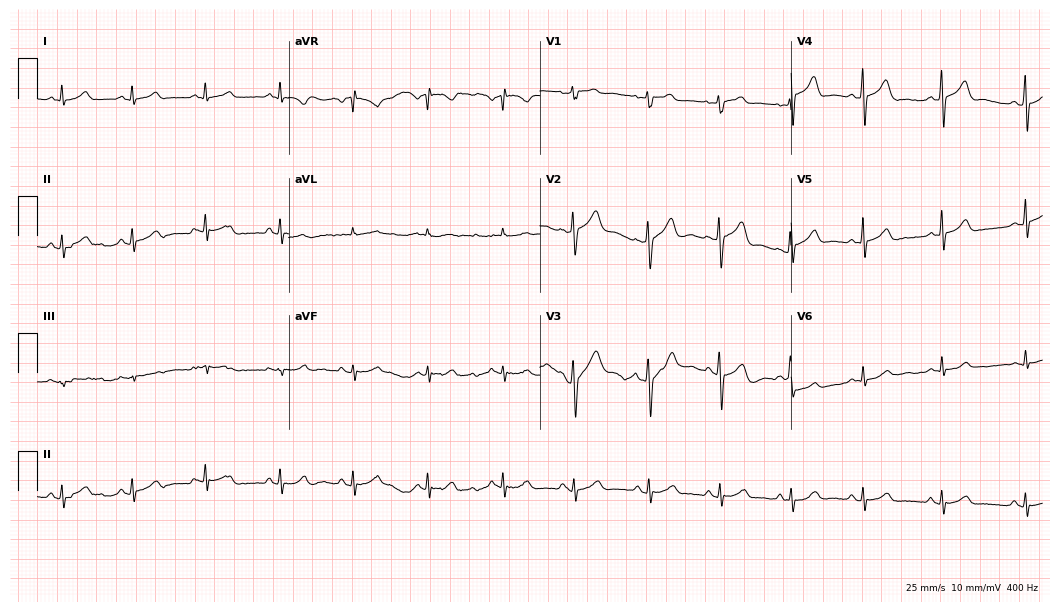
12-lead ECG from a male patient, 27 years old (10.2-second recording at 400 Hz). No first-degree AV block, right bundle branch block, left bundle branch block, sinus bradycardia, atrial fibrillation or sinus tachycardia recorded for this tracing. Findings outside these six are not listed.